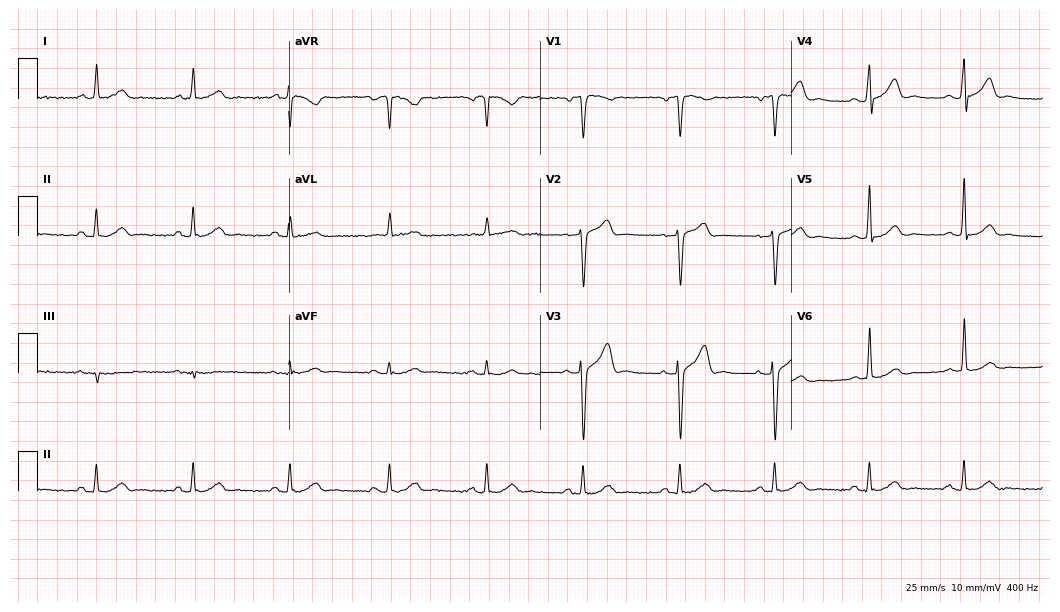
Resting 12-lead electrocardiogram. Patient: a 57-year-old man. Read as a normal ECG.